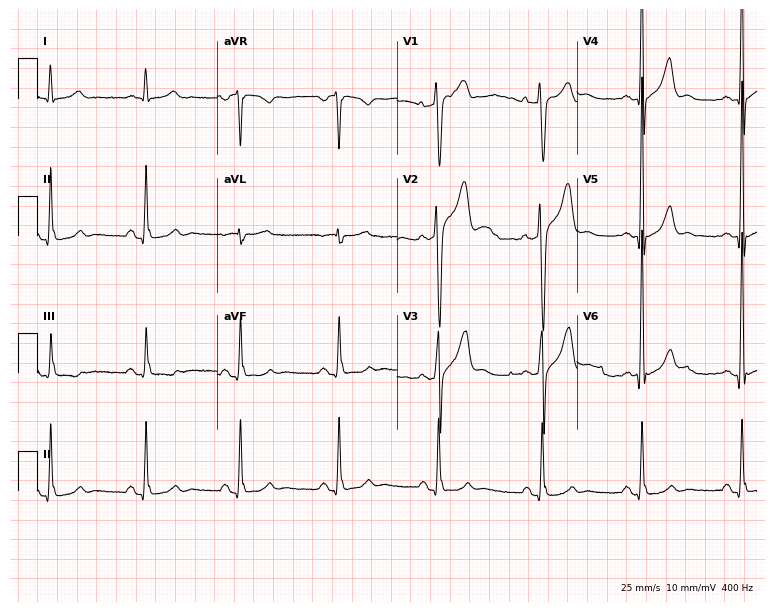
Electrocardiogram, a male patient, 43 years old. Of the six screened findings (first-degree AV block, right bundle branch block, left bundle branch block, sinus bradycardia, atrial fibrillation, sinus tachycardia), none is recorded. Other findings, if any, are not listed.